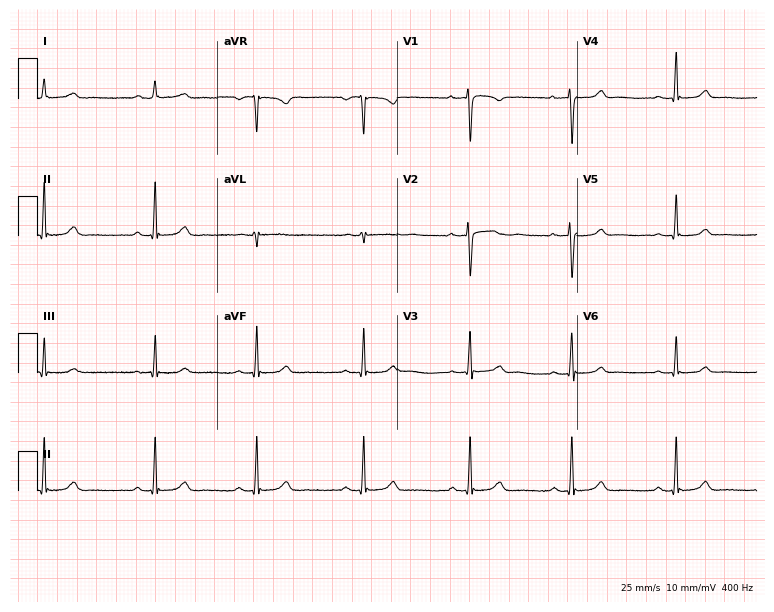
12-lead ECG from a 32-year-old female. Recorded interpretation: within normal limits.